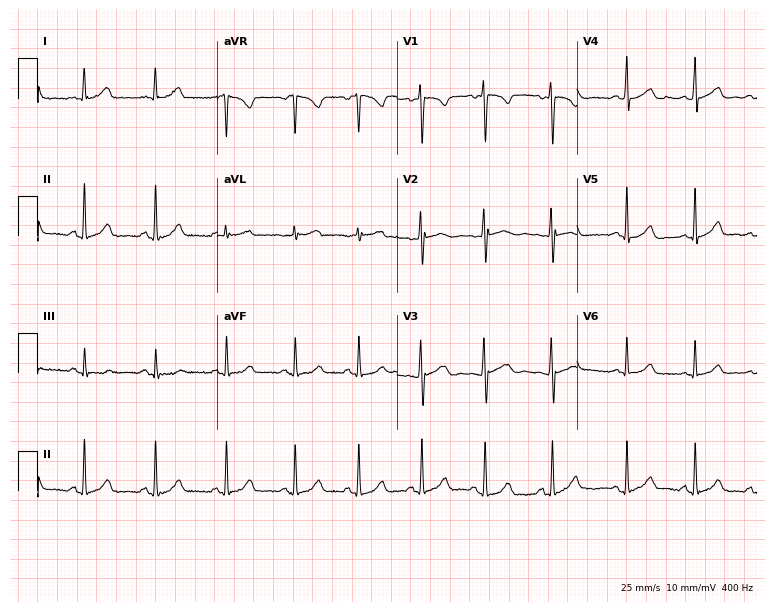
Standard 12-lead ECG recorded from a female, 18 years old. Read as a normal ECG.